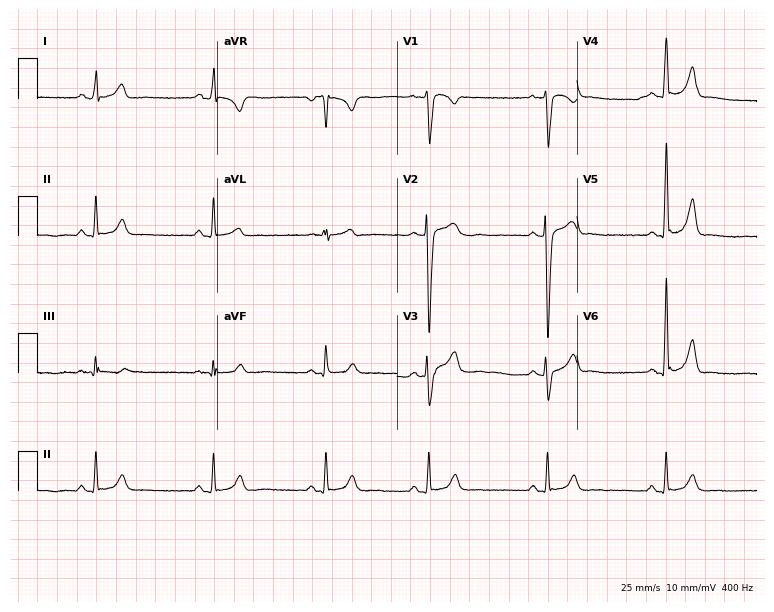
ECG — a 28-year-old man. Labelled as a normal ECG.